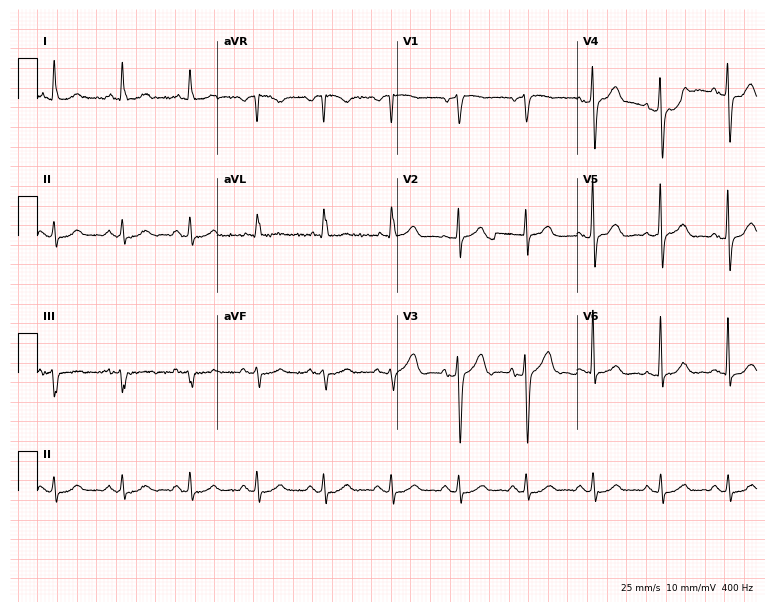
12-lead ECG from a man, 68 years old (7.3-second recording at 400 Hz). Recorded interpretation: within normal limits.